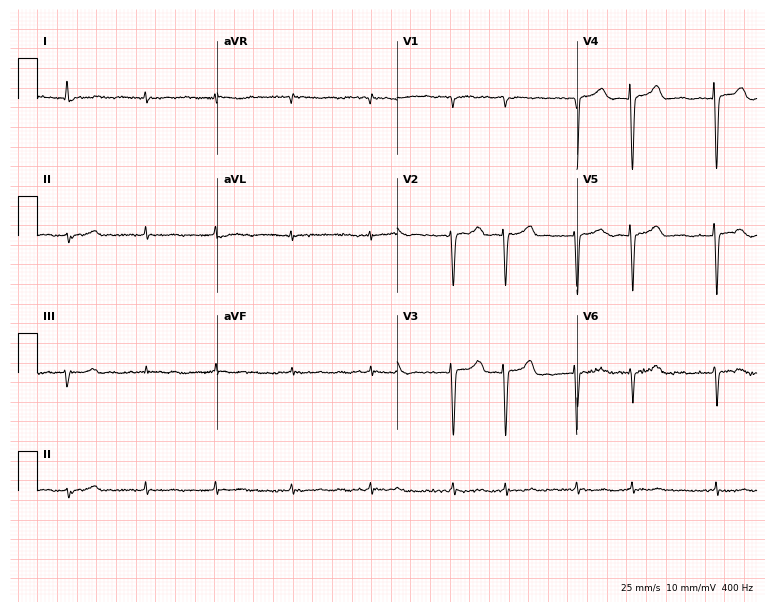
Standard 12-lead ECG recorded from an 82-year-old female patient. The tracing shows atrial fibrillation.